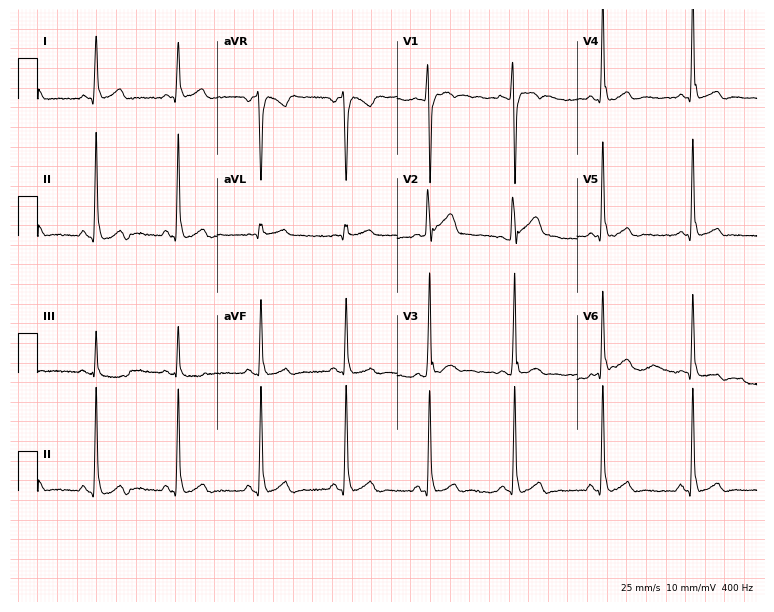
Resting 12-lead electrocardiogram (7.3-second recording at 400 Hz). Patient: a 31-year-old male. None of these six findings is recorded: first-degree AV block, right bundle branch block, left bundle branch block, sinus bradycardia, atrial fibrillation, sinus tachycardia. Findings outside these six are not listed.